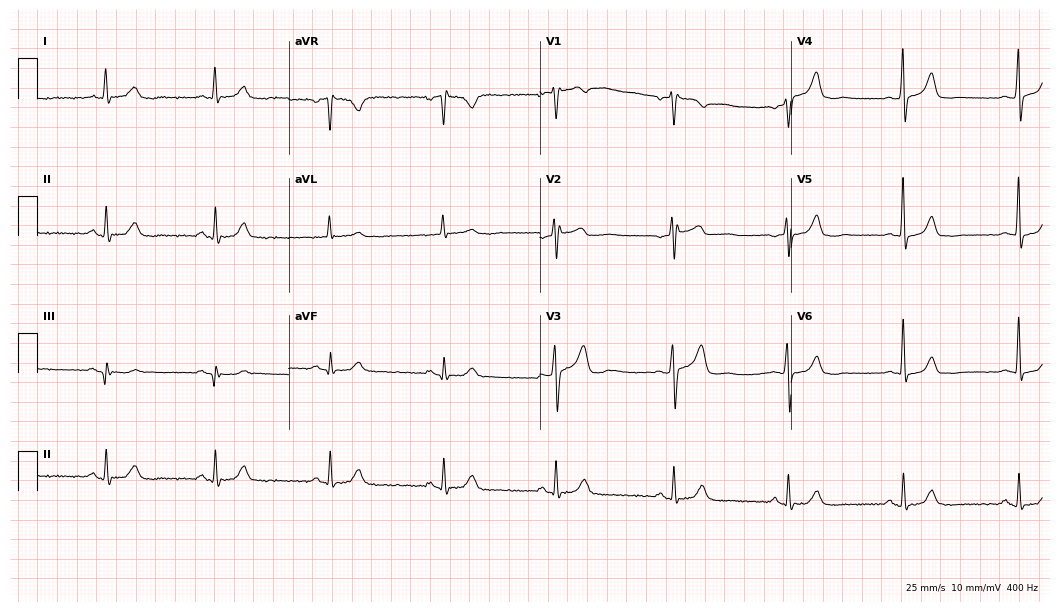
Resting 12-lead electrocardiogram. Patient: a male, 59 years old. Read as a normal ECG.